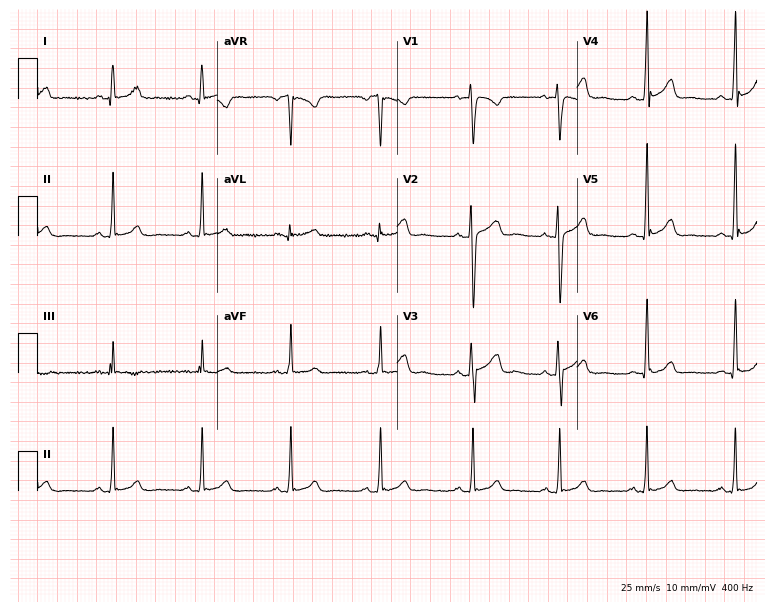
12-lead ECG from a 28-year-old female. Recorded interpretation: within normal limits.